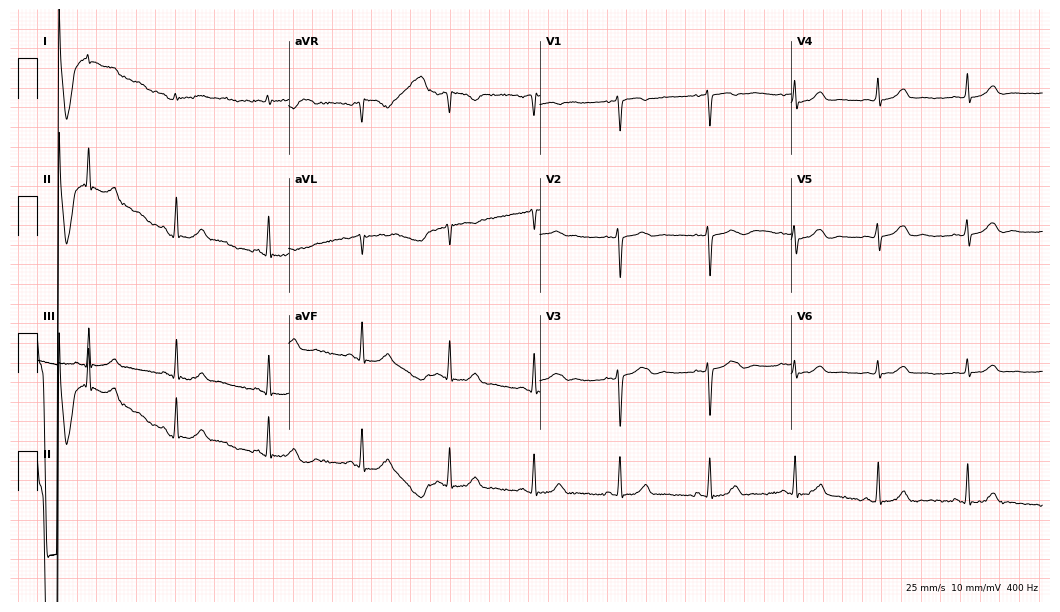
Standard 12-lead ECG recorded from a 29-year-old female. None of these six findings is recorded: first-degree AV block, right bundle branch block (RBBB), left bundle branch block (LBBB), sinus bradycardia, atrial fibrillation (AF), sinus tachycardia. Other findings, if any, are not listed.